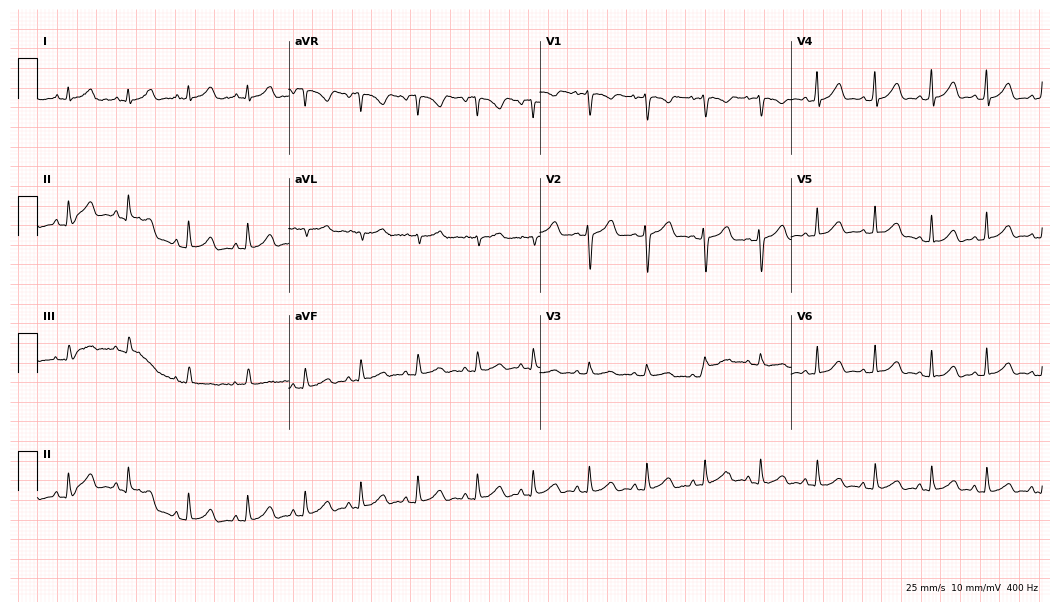
Standard 12-lead ECG recorded from an 18-year-old female (10.2-second recording at 400 Hz). Read as a normal ECG.